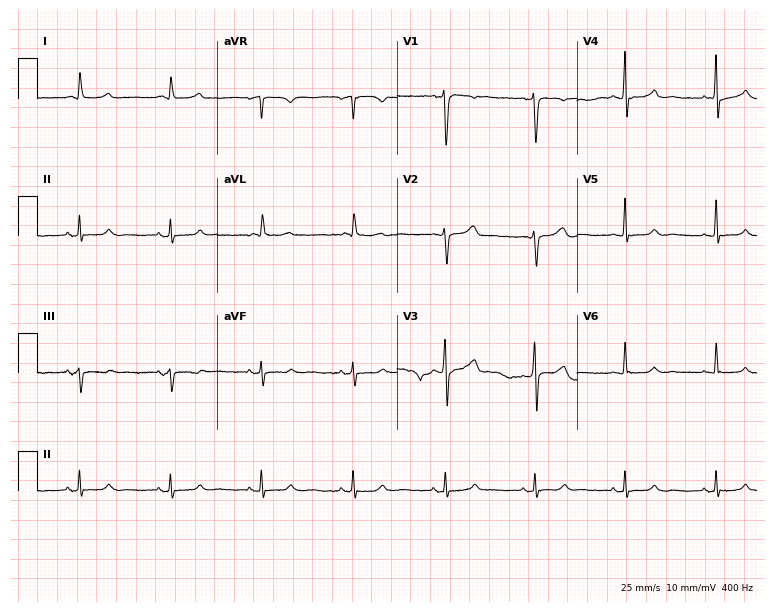
Standard 12-lead ECG recorded from a male patient, 47 years old. None of these six findings is recorded: first-degree AV block, right bundle branch block (RBBB), left bundle branch block (LBBB), sinus bradycardia, atrial fibrillation (AF), sinus tachycardia. Other findings, if any, are not listed.